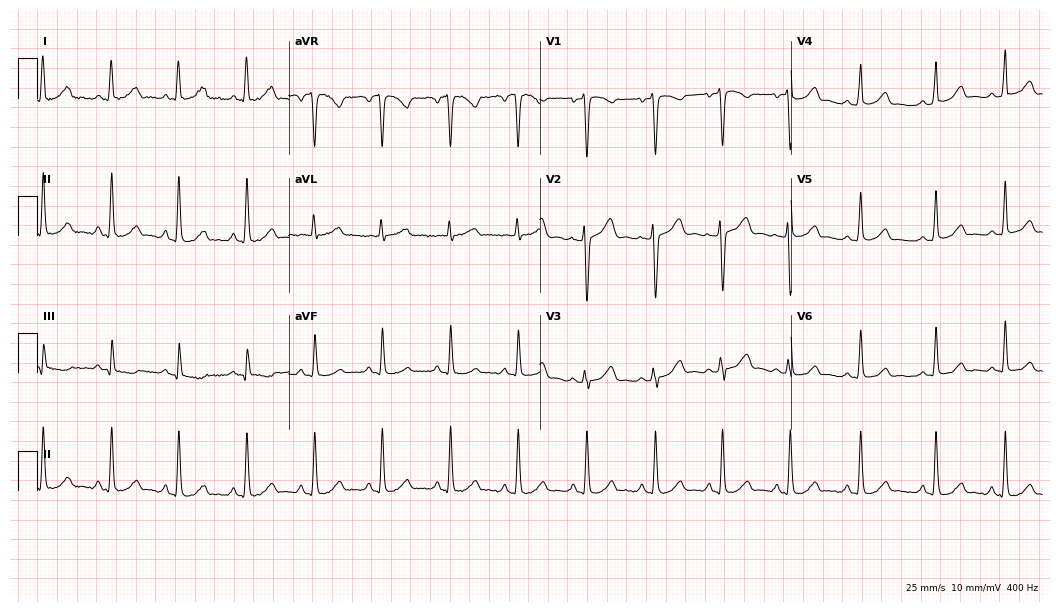
Standard 12-lead ECG recorded from a female, 32 years old (10.2-second recording at 400 Hz). Read as a normal ECG.